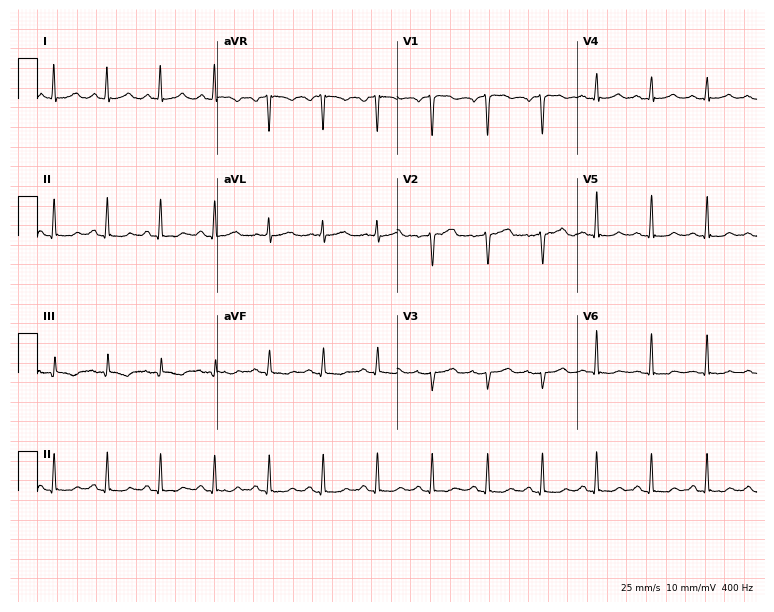
ECG (7.3-second recording at 400 Hz) — a female, 50 years old. Findings include sinus tachycardia (a sinus rate of 100 beats per minute or more).